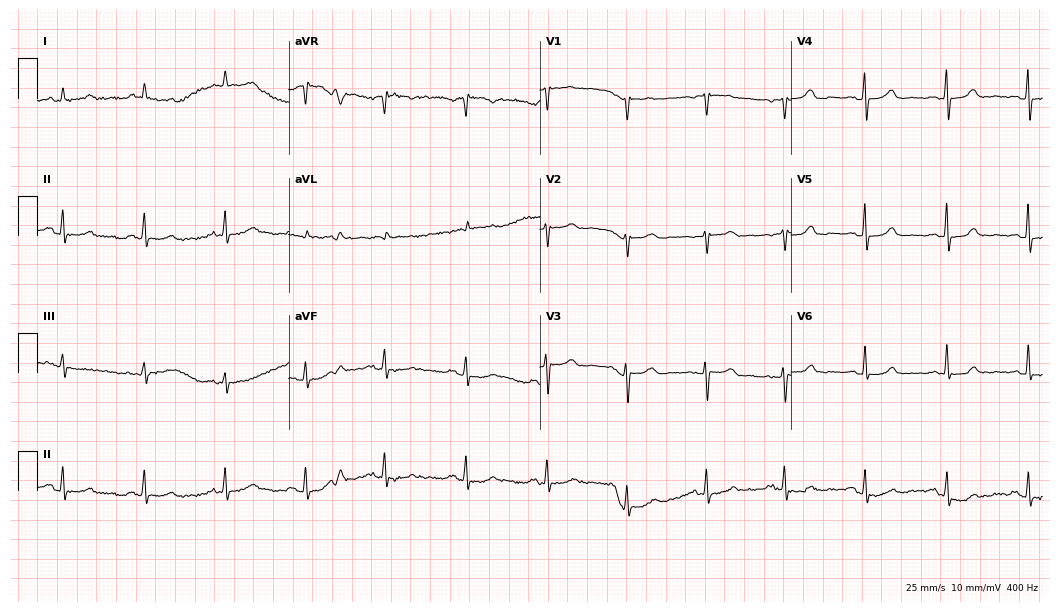
Electrocardiogram, a female patient, 53 years old. Overall reading on record: normal ECG.